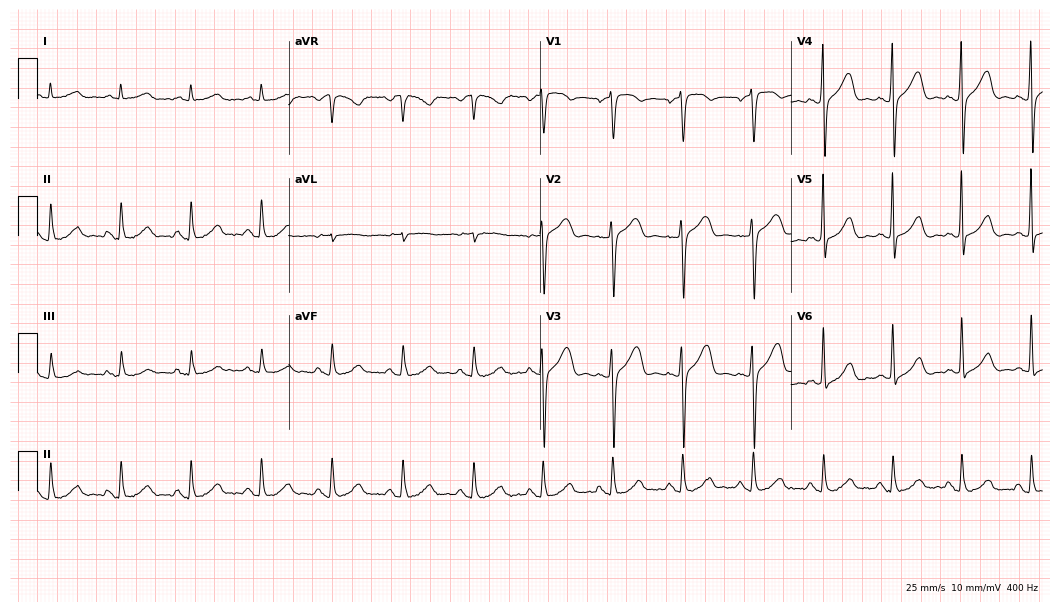
ECG — a 58-year-old male patient. Screened for six findings — first-degree AV block, right bundle branch block (RBBB), left bundle branch block (LBBB), sinus bradycardia, atrial fibrillation (AF), sinus tachycardia — none is recorded.